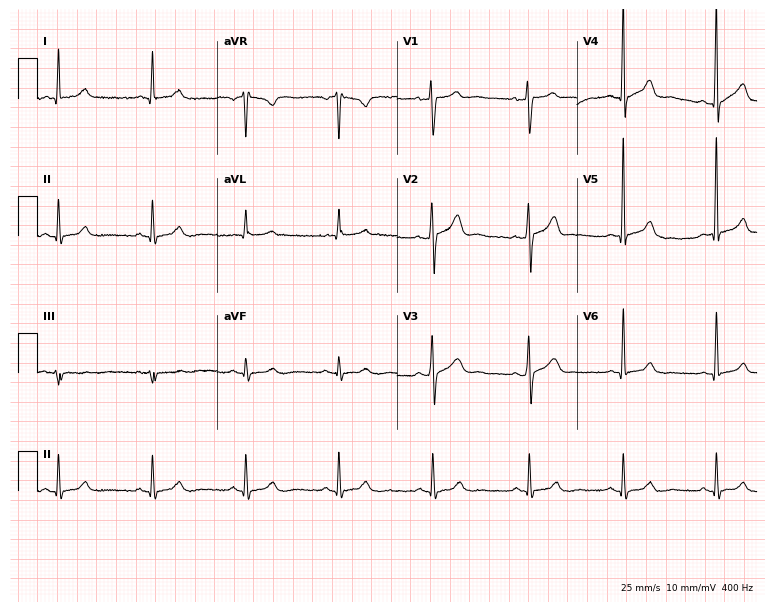
ECG (7.3-second recording at 400 Hz) — a 44-year-old male. Labelled as a normal ECG.